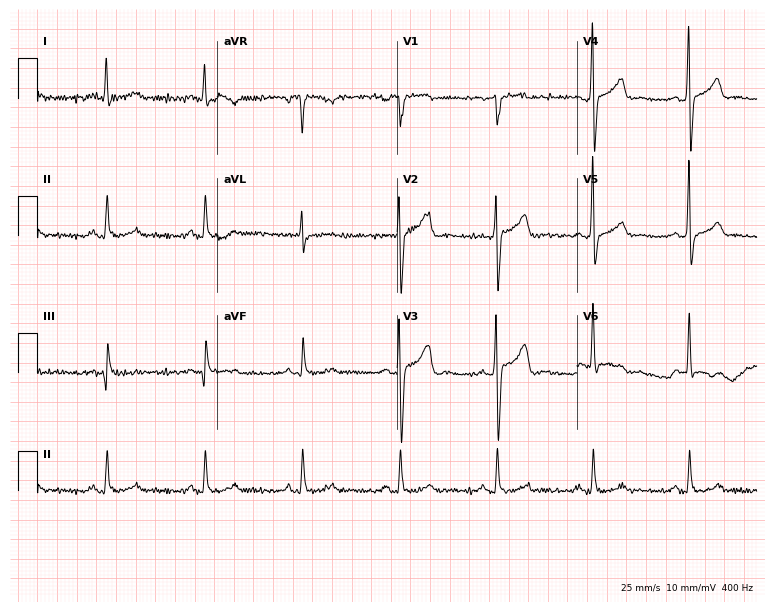
Electrocardiogram, a male patient, 53 years old. Overall reading on record: normal ECG.